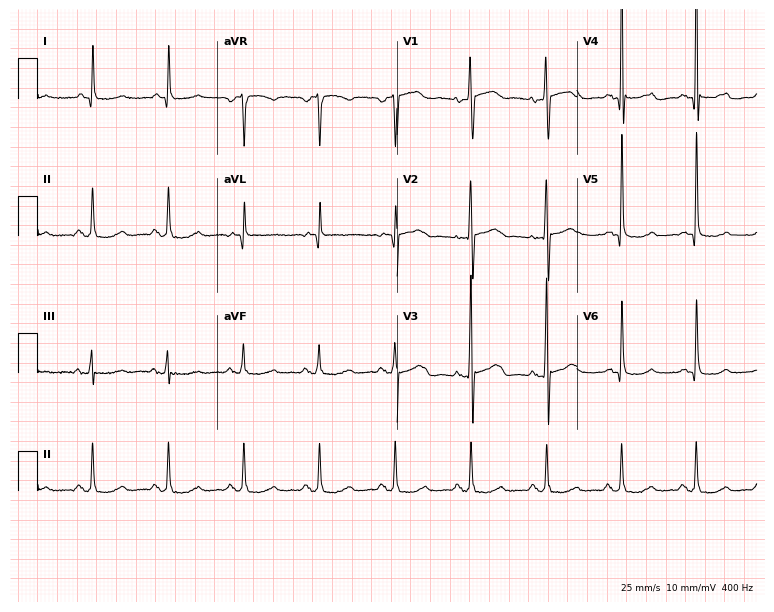
ECG — an 84-year-old female. Screened for six findings — first-degree AV block, right bundle branch block, left bundle branch block, sinus bradycardia, atrial fibrillation, sinus tachycardia — none is recorded.